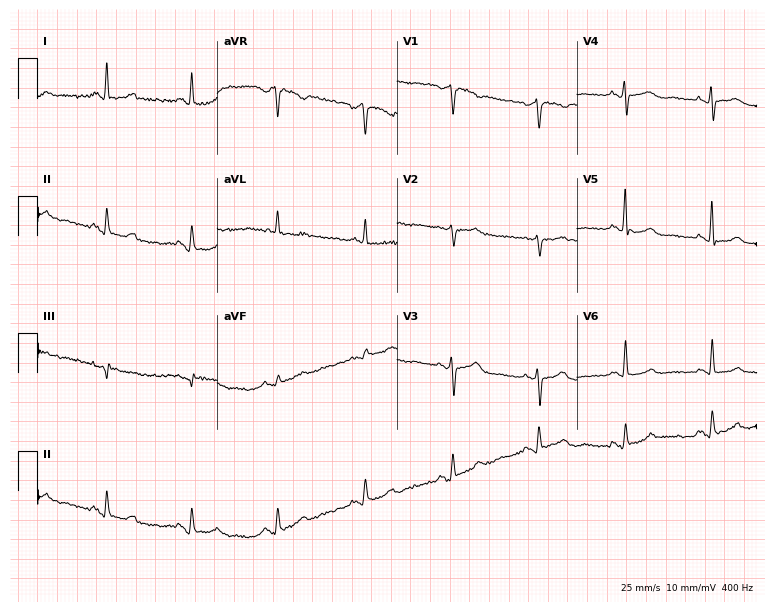
ECG (7.3-second recording at 400 Hz) — a 74-year-old female. Screened for six findings — first-degree AV block, right bundle branch block (RBBB), left bundle branch block (LBBB), sinus bradycardia, atrial fibrillation (AF), sinus tachycardia — none is recorded.